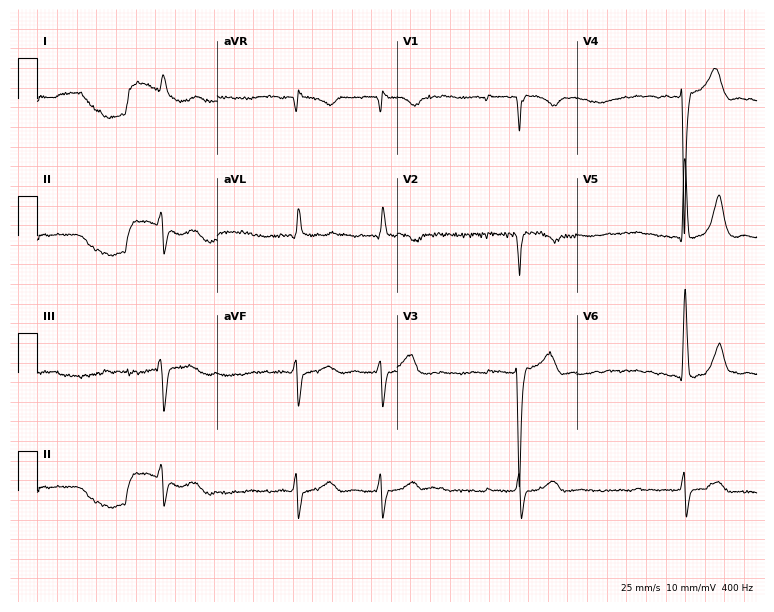
12-lead ECG from a male patient, 84 years old. Findings include left bundle branch block, atrial fibrillation.